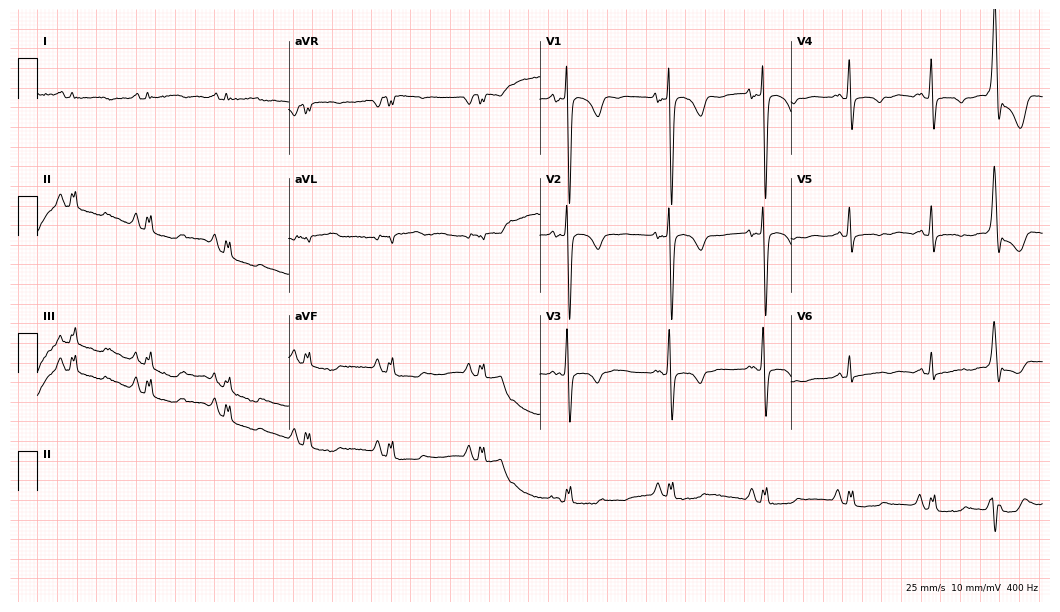
12-lead ECG from a male patient, 72 years old. Labelled as a normal ECG.